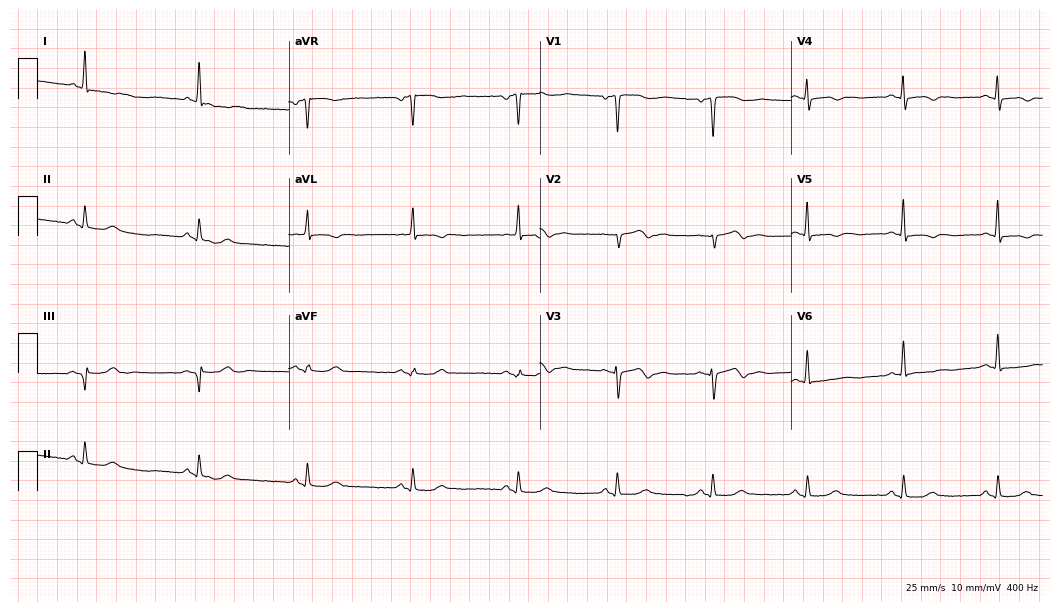
Electrocardiogram (10.2-second recording at 400 Hz), a 59-year-old female patient. Of the six screened findings (first-degree AV block, right bundle branch block, left bundle branch block, sinus bradycardia, atrial fibrillation, sinus tachycardia), none is recorded. Other findings, if any, are not listed.